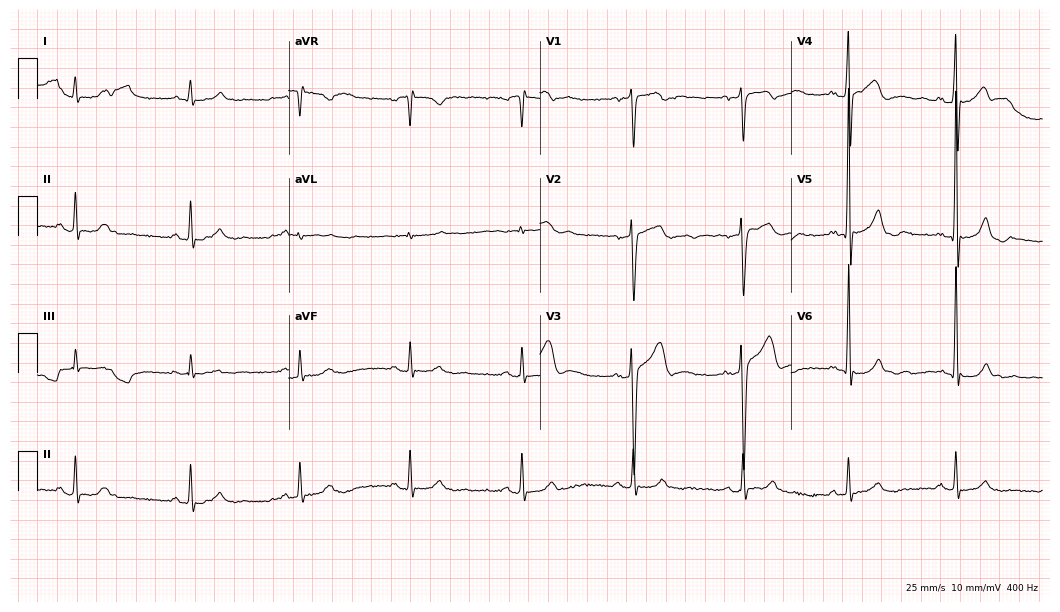
ECG (10.2-second recording at 400 Hz) — a man, 67 years old. Screened for six findings — first-degree AV block, right bundle branch block (RBBB), left bundle branch block (LBBB), sinus bradycardia, atrial fibrillation (AF), sinus tachycardia — none is recorded. Findings outside these six are not listed.